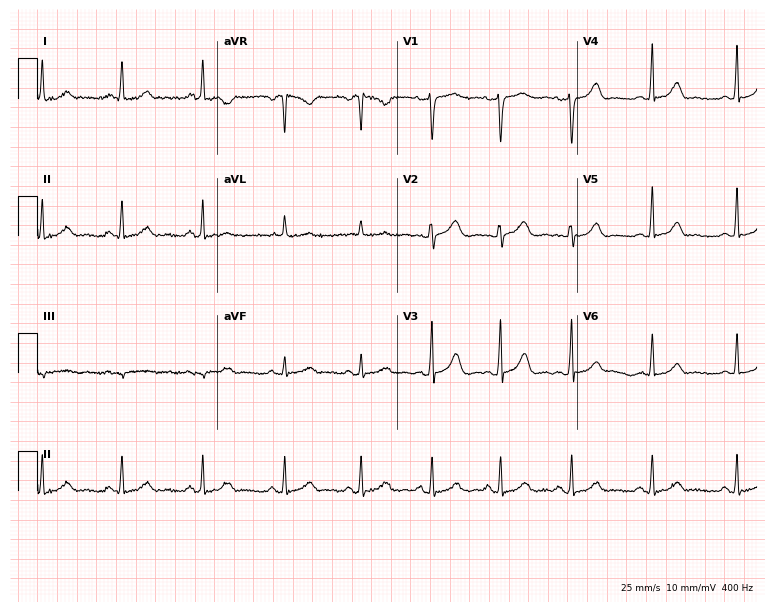
Resting 12-lead electrocardiogram. Patient: a 34-year-old female. Read as a normal ECG.